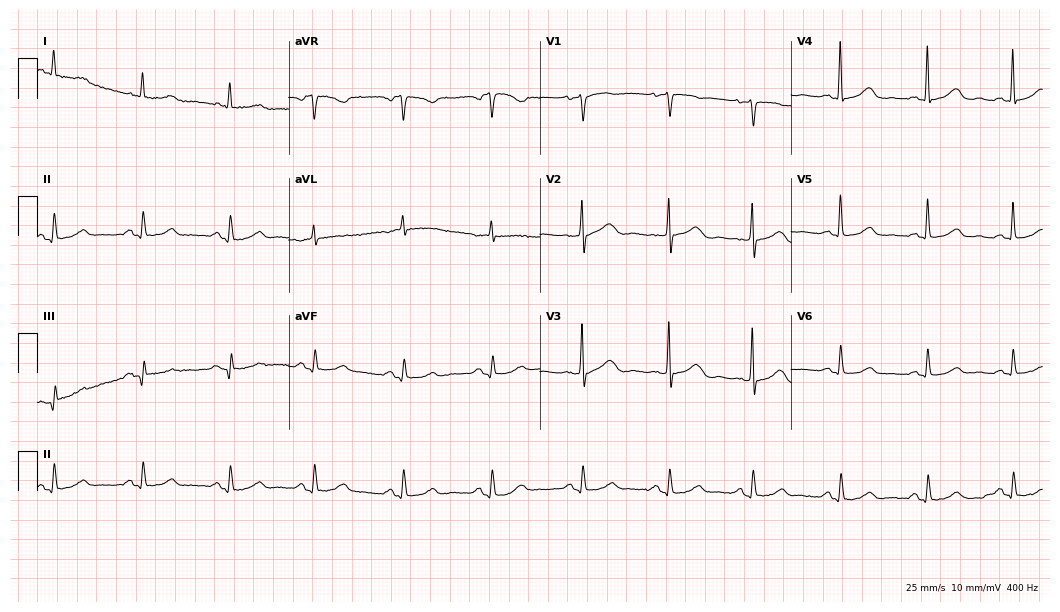
12-lead ECG from a female, 77 years old. Labelled as a normal ECG.